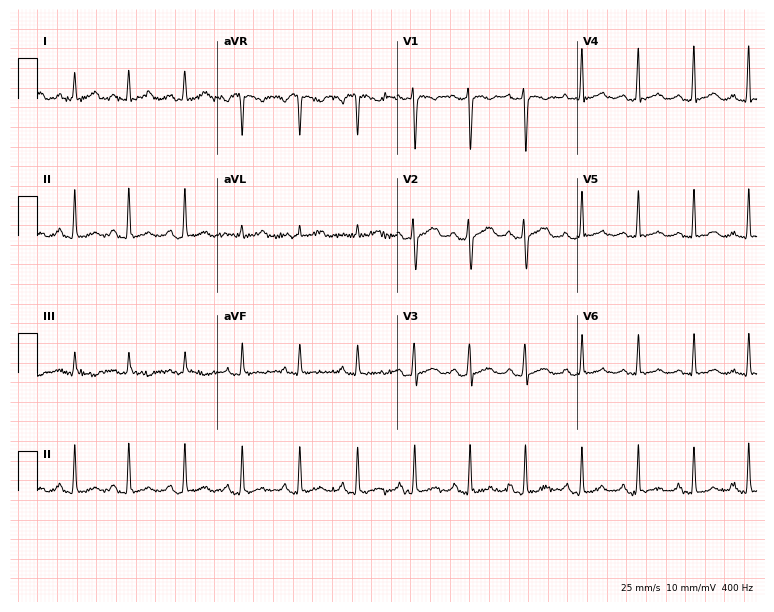
Standard 12-lead ECG recorded from a female, 31 years old (7.3-second recording at 400 Hz). None of these six findings is recorded: first-degree AV block, right bundle branch block, left bundle branch block, sinus bradycardia, atrial fibrillation, sinus tachycardia. Findings outside these six are not listed.